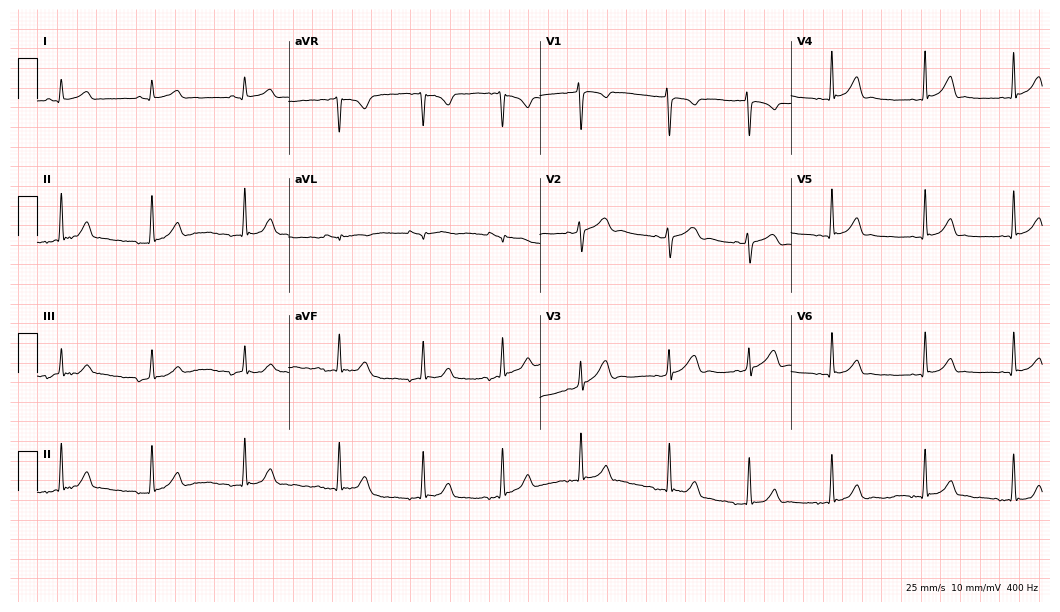
12-lead ECG from a 17-year-old woman. No first-degree AV block, right bundle branch block (RBBB), left bundle branch block (LBBB), sinus bradycardia, atrial fibrillation (AF) or sinus tachycardia recorded for this tracing.